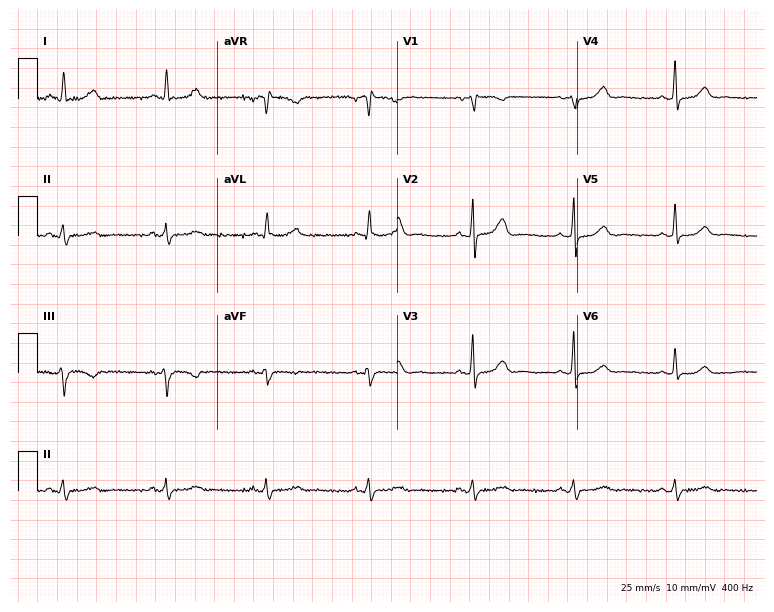
12-lead ECG from a 63-year-old male. Recorded interpretation: within normal limits.